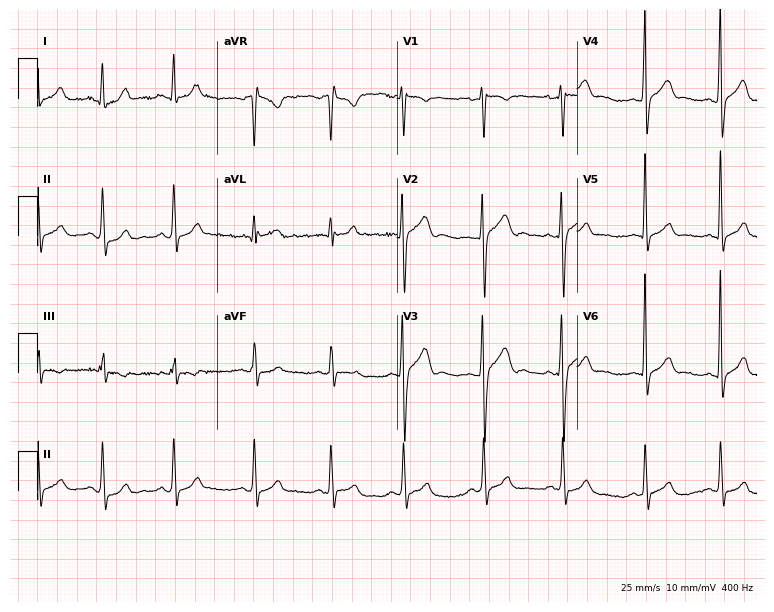
12-lead ECG (7.3-second recording at 400 Hz) from a man, 20 years old. Labelled as a normal ECG.